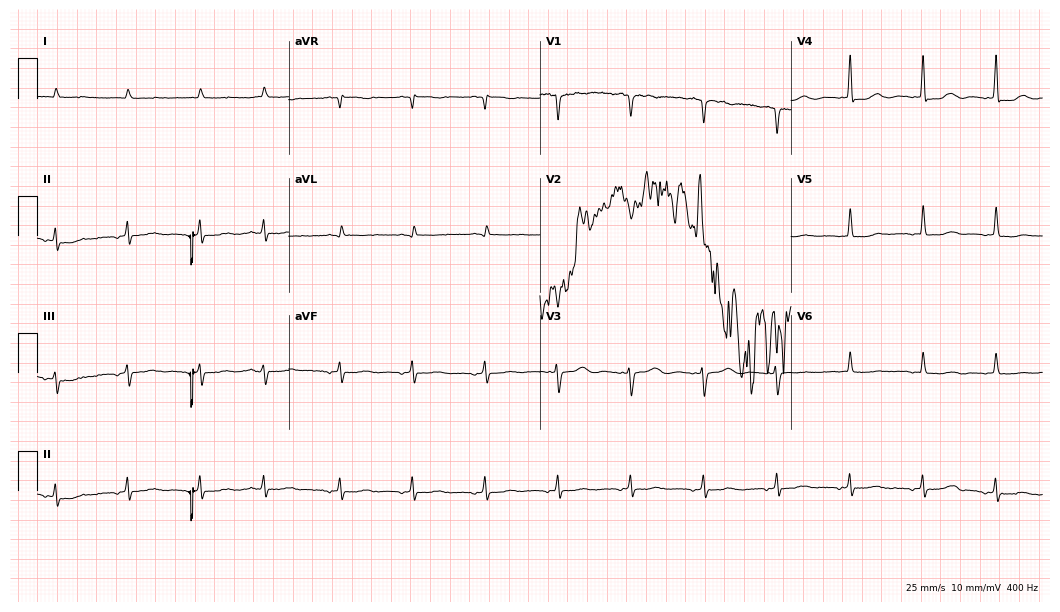
Standard 12-lead ECG recorded from an 85-year-old male. None of these six findings is recorded: first-degree AV block, right bundle branch block, left bundle branch block, sinus bradycardia, atrial fibrillation, sinus tachycardia. Other findings, if any, are not listed.